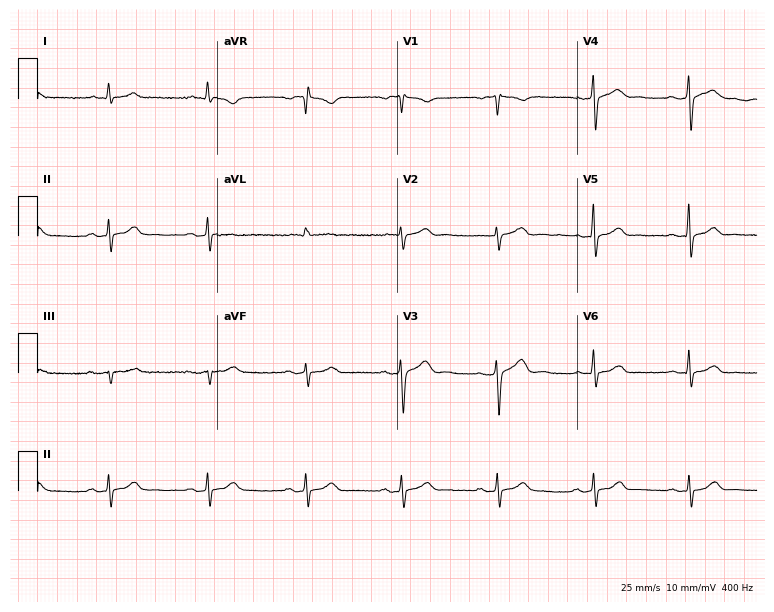
12-lead ECG from a 54-year-old male (7.3-second recording at 400 Hz). Recorded interpretation: within normal limits.